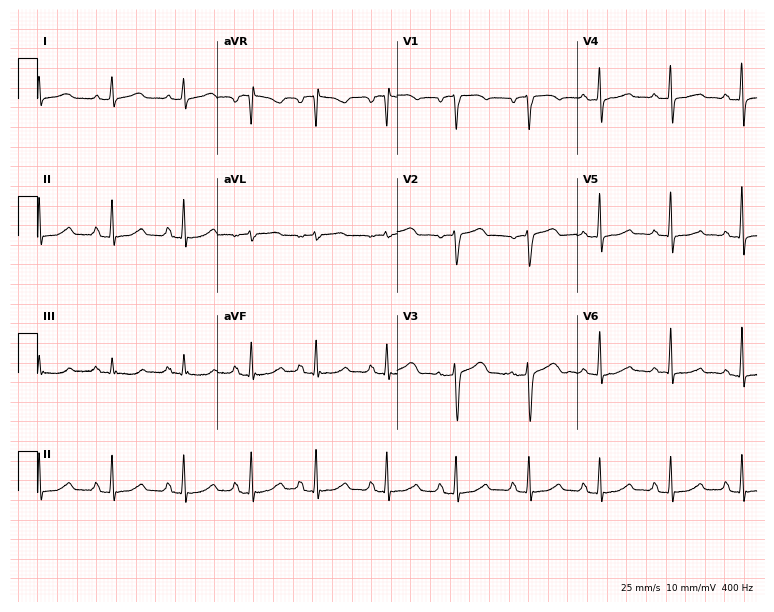
12-lead ECG (7.3-second recording at 400 Hz) from a 58-year-old female patient. Labelled as a normal ECG.